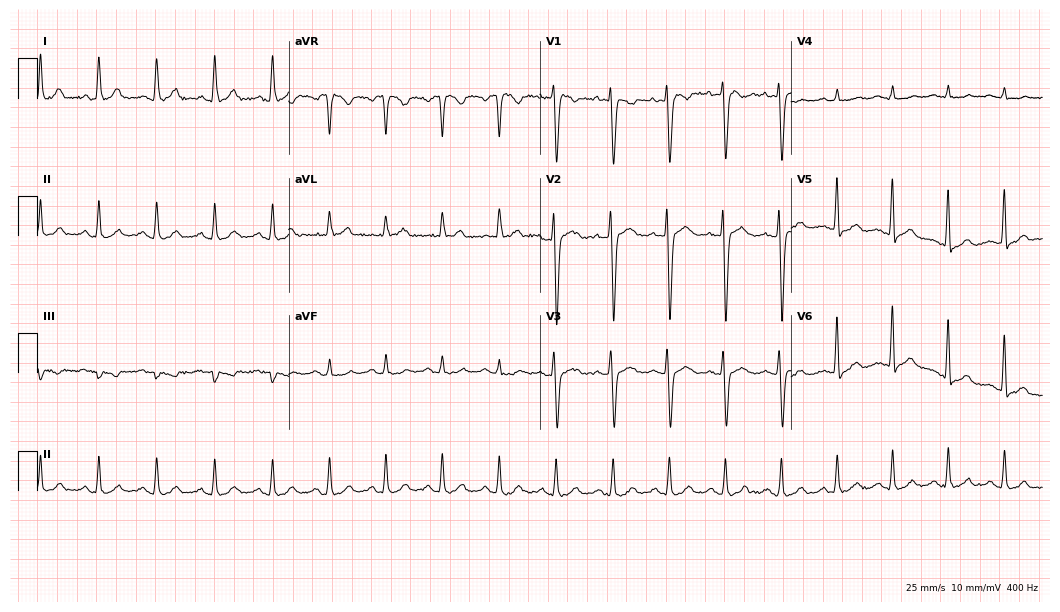
ECG (10.2-second recording at 400 Hz) — a 30-year-old male. Findings include sinus tachycardia (a sinus rate of 100 beats per minute or more).